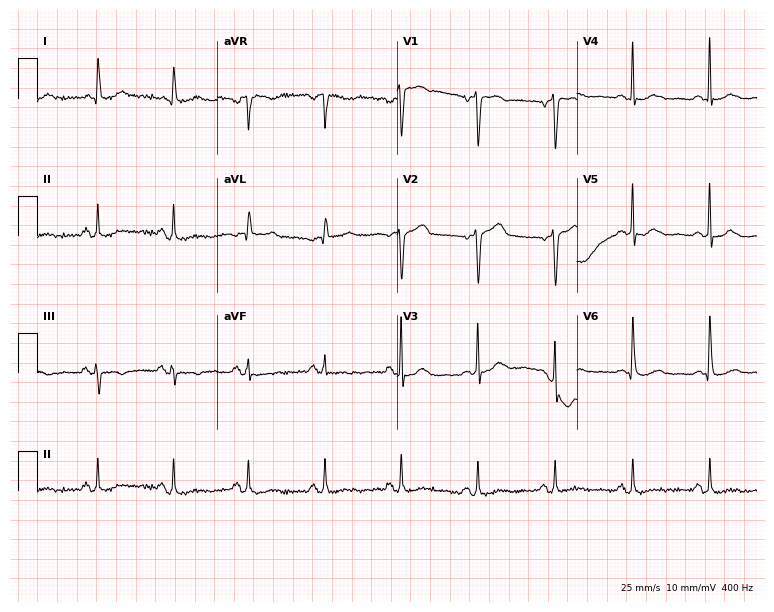
ECG (7.3-second recording at 400 Hz) — a 60-year-old female patient. Screened for six findings — first-degree AV block, right bundle branch block (RBBB), left bundle branch block (LBBB), sinus bradycardia, atrial fibrillation (AF), sinus tachycardia — none is recorded. Only these six findings were labelled.